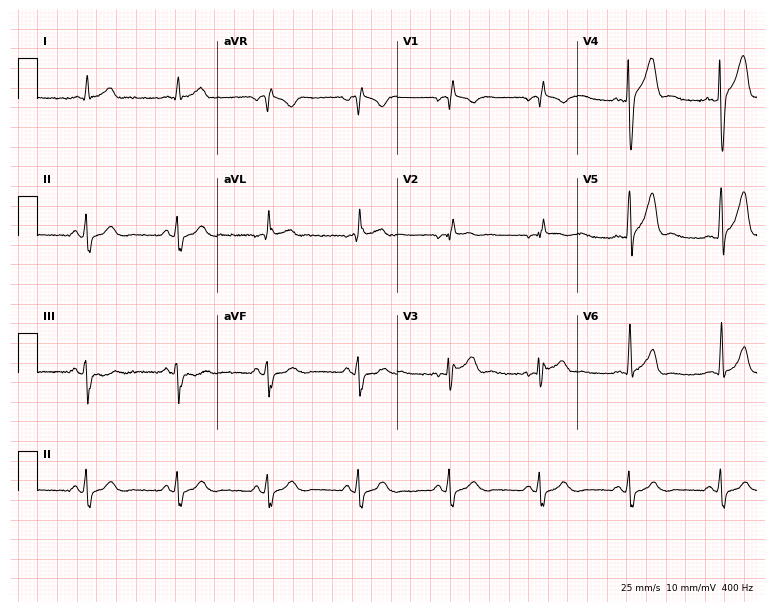
ECG — a man, 35 years old. Screened for six findings — first-degree AV block, right bundle branch block, left bundle branch block, sinus bradycardia, atrial fibrillation, sinus tachycardia — none is recorded. Only these six findings were labelled.